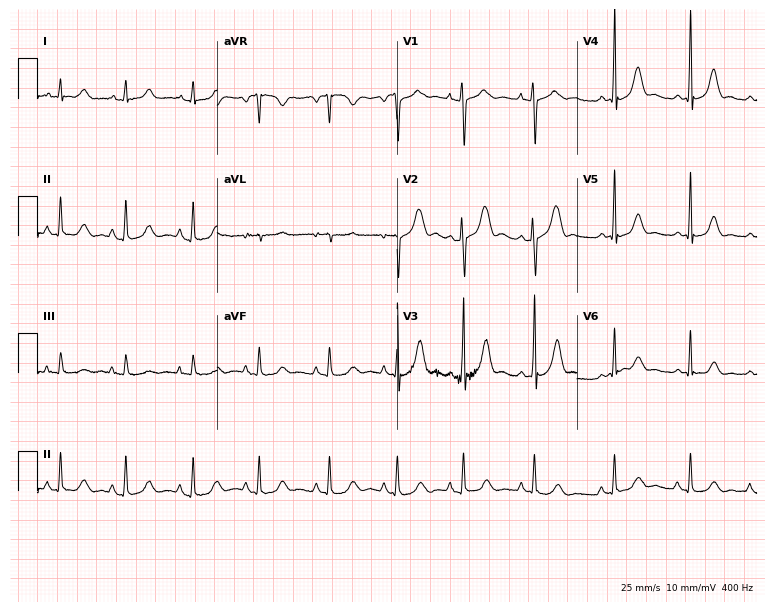
12-lead ECG from a 29-year-old woman. Screened for six findings — first-degree AV block, right bundle branch block, left bundle branch block, sinus bradycardia, atrial fibrillation, sinus tachycardia — none is recorded. Only these six findings were labelled.